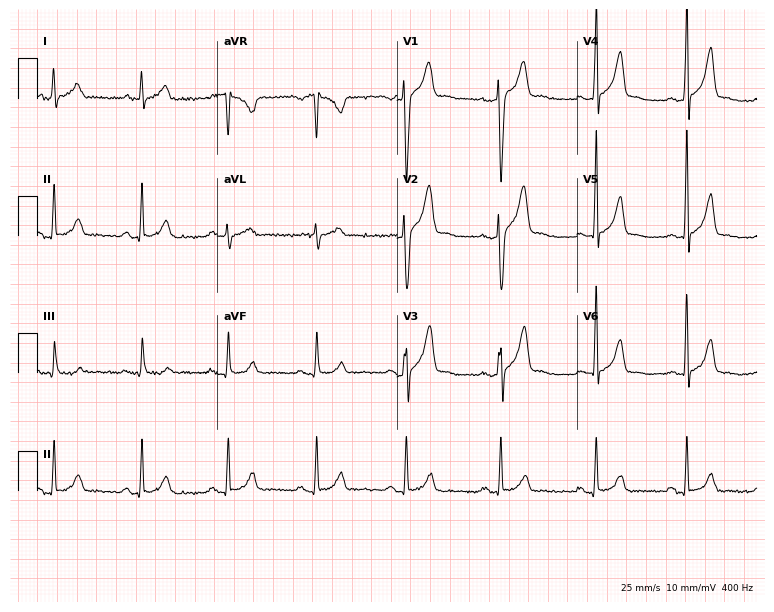
12-lead ECG from a 32-year-old male. Screened for six findings — first-degree AV block, right bundle branch block, left bundle branch block, sinus bradycardia, atrial fibrillation, sinus tachycardia — none is recorded. Only these six findings were labelled.